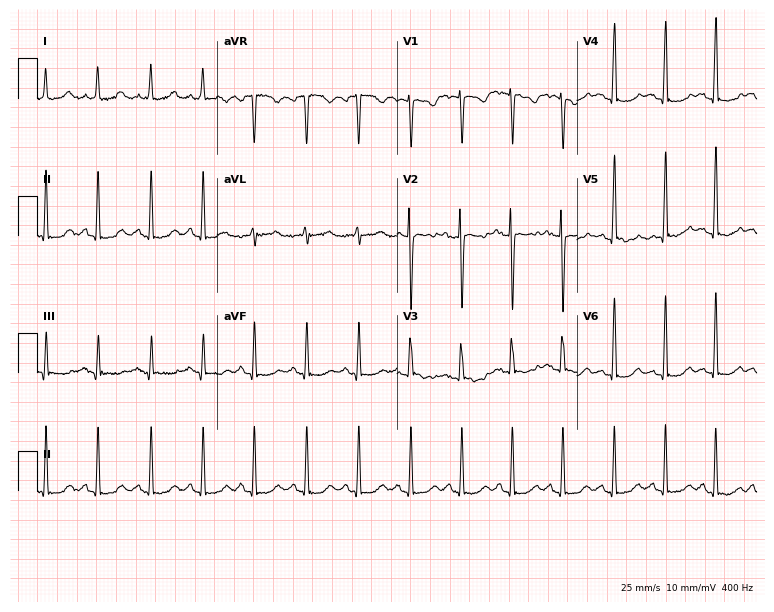
Electrocardiogram (7.3-second recording at 400 Hz), a 32-year-old woman. Interpretation includes sinus tachycardia (a sinus rate of 100 beats per minute or more).